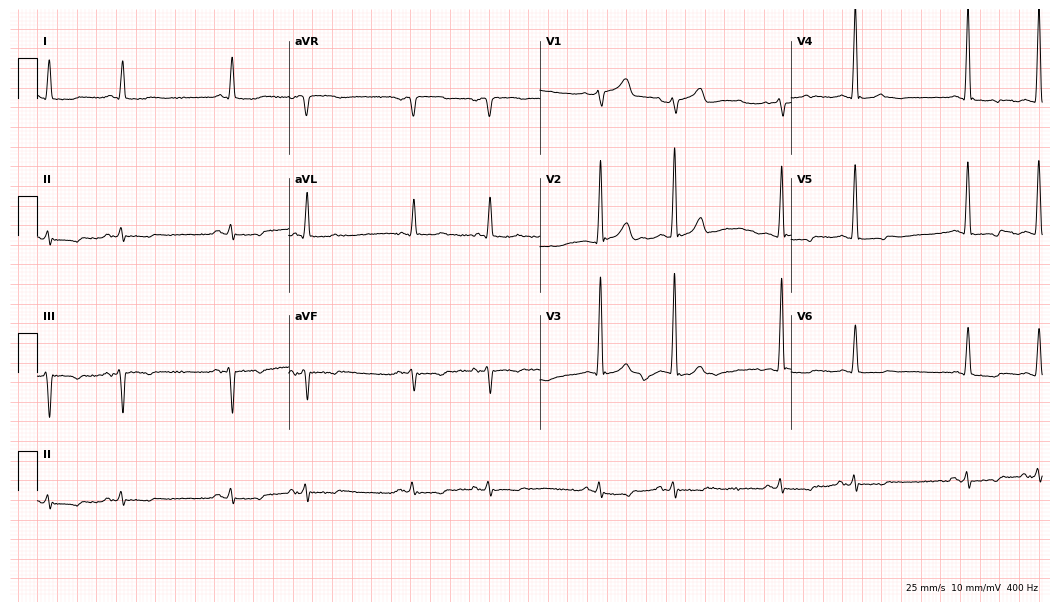
12-lead ECG from an 85-year-old male patient (10.2-second recording at 400 Hz). No first-degree AV block, right bundle branch block (RBBB), left bundle branch block (LBBB), sinus bradycardia, atrial fibrillation (AF) or sinus tachycardia recorded for this tracing. Only these six findings were labelled.